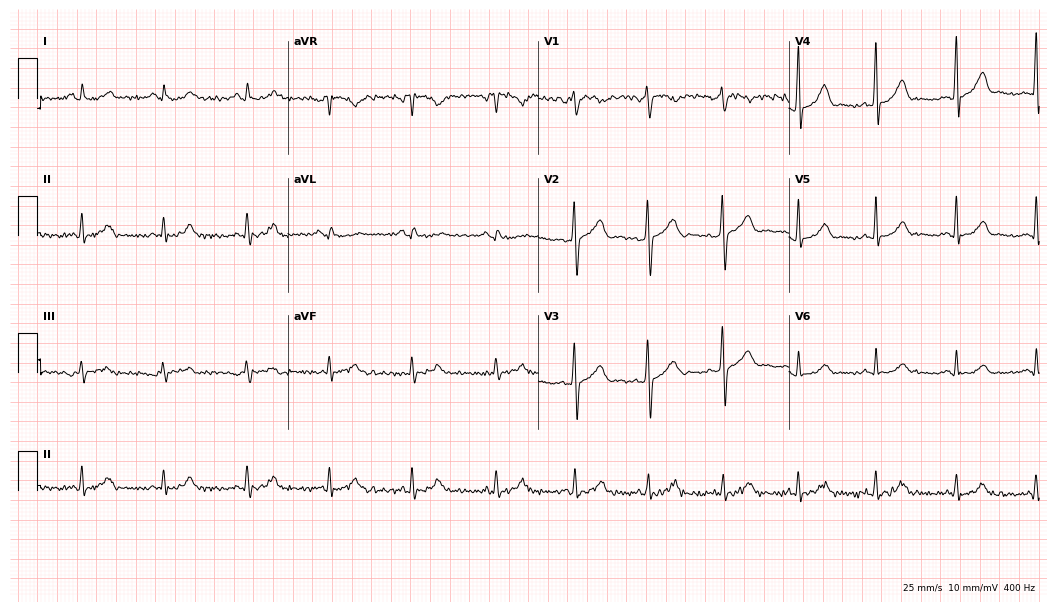
Standard 12-lead ECG recorded from a 37-year-old male. Read as a normal ECG.